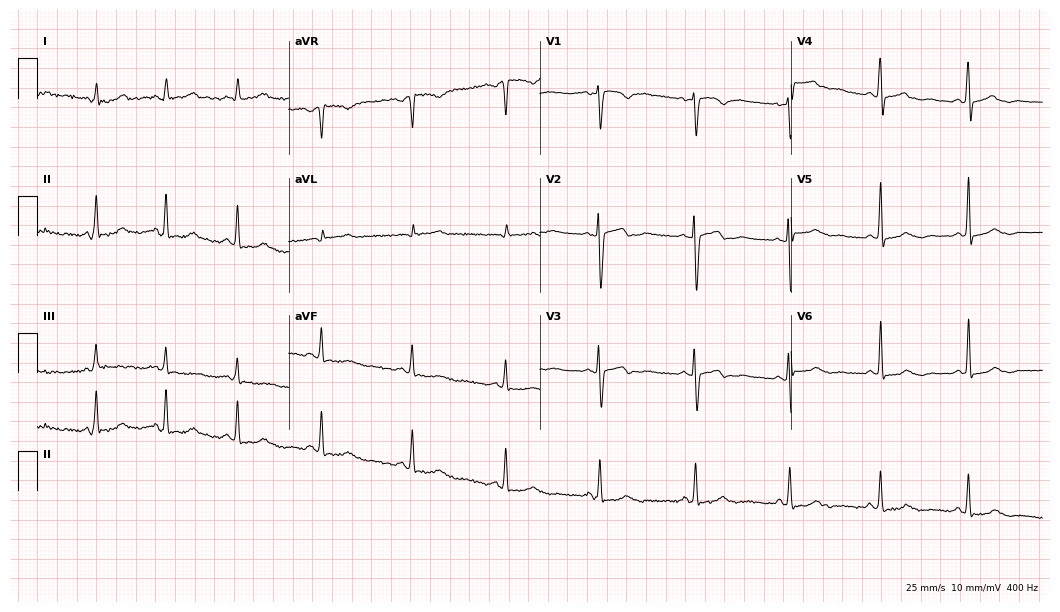
Standard 12-lead ECG recorded from a female patient, 34 years old. None of these six findings is recorded: first-degree AV block, right bundle branch block, left bundle branch block, sinus bradycardia, atrial fibrillation, sinus tachycardia. Other findings, if any, are not listed.